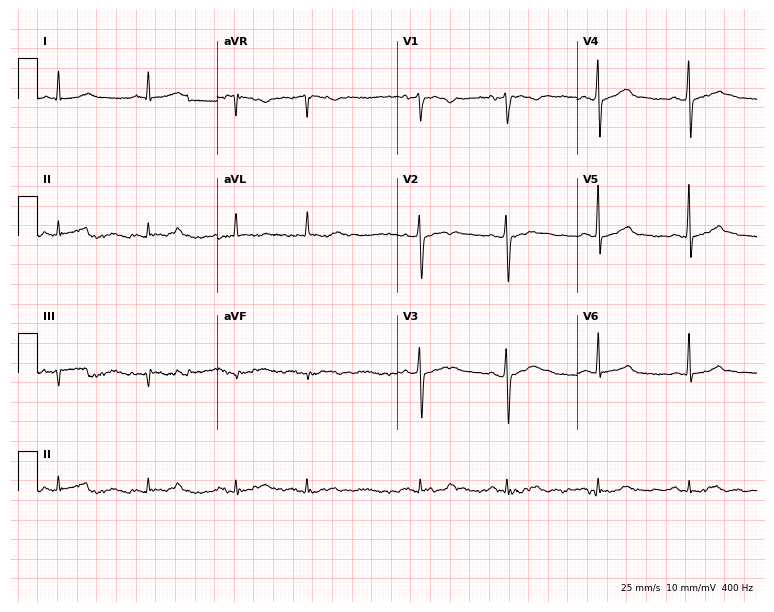
12-lead ECG from a male, 71 years old. No first-degree AV block, right bundle branch block (RBBB), left bundle branch block (LBBB), sinus bradycardia, atrial fibrillation (AF) or sinus tachycardia recorded for this tracing. Findings outside these six are not listed.